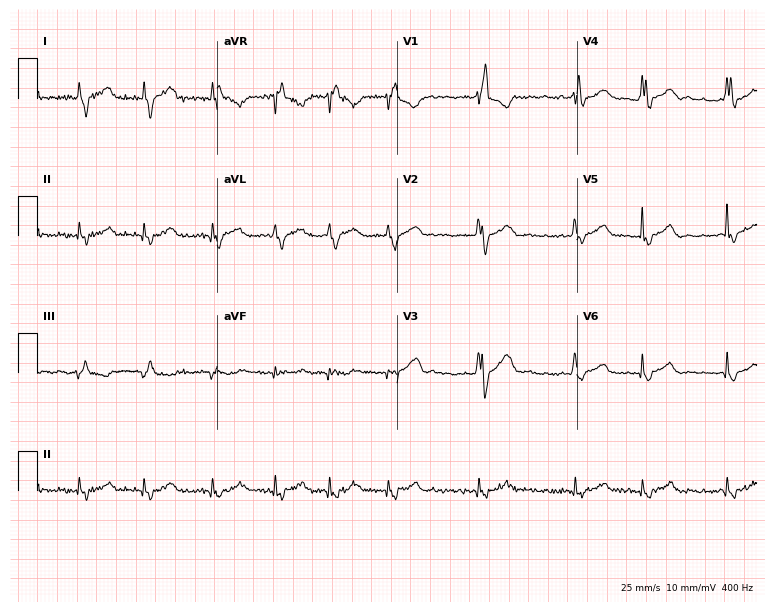
Resting 12-lead electrocardiogram. Patient: an 80-year-old male. The tracing shows right bundle branch block.